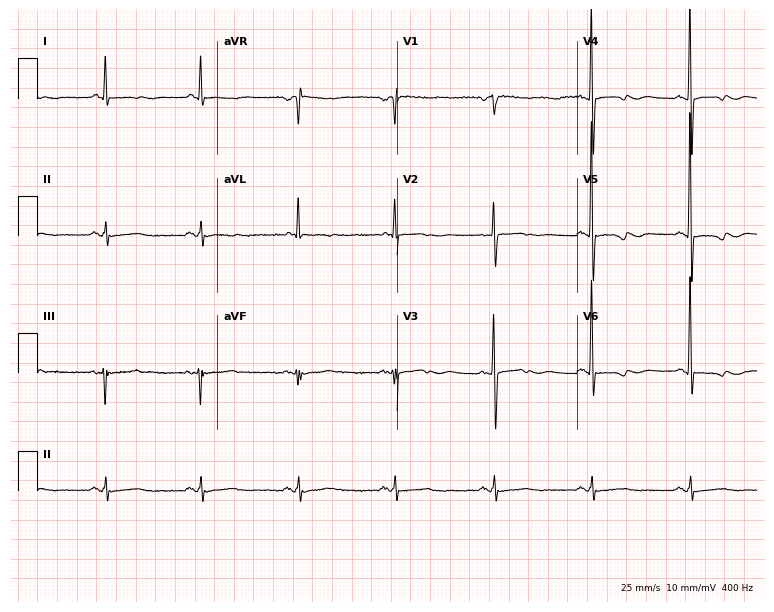
Electrocardiogram (7.3-second recording at 400 Hz), a female, 71 years old. Of the six screened findings (first-degree AV block, right bundle branch block, left bundle branch block, sinus bradycardia, atrial fibrillation, sinus tachycardia), none is recorded. Findings outside these six are not listed.